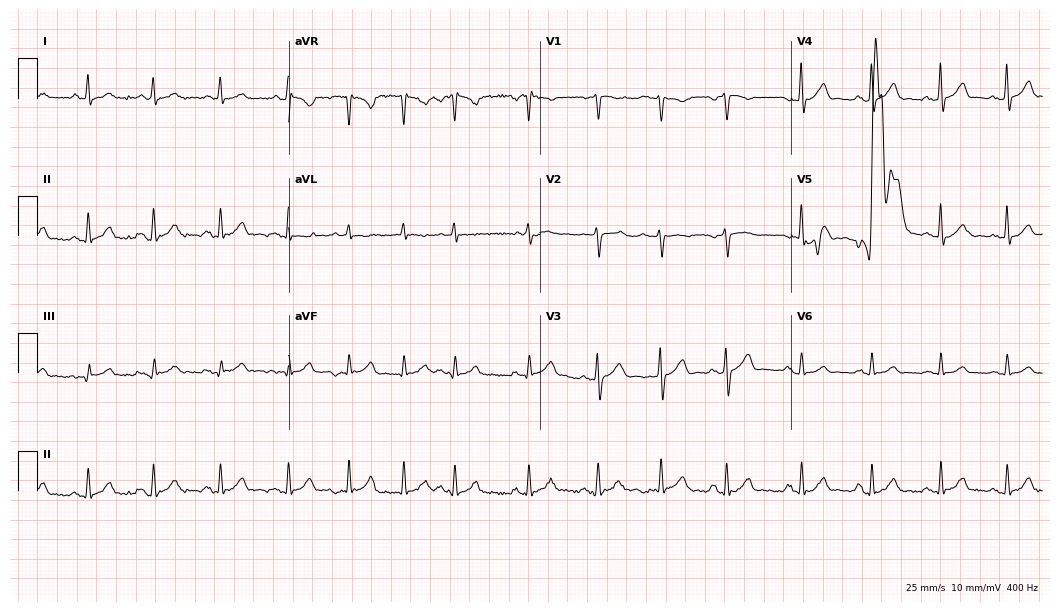
12-lead ECG from a female patient, 40 years old. No first-degree AV block, right bundle branch block, left bundle branch block, sinus bradycardia, atrial fibrillation or sinus tachycardia recorded for this tracing. Only these six findings were labelled.